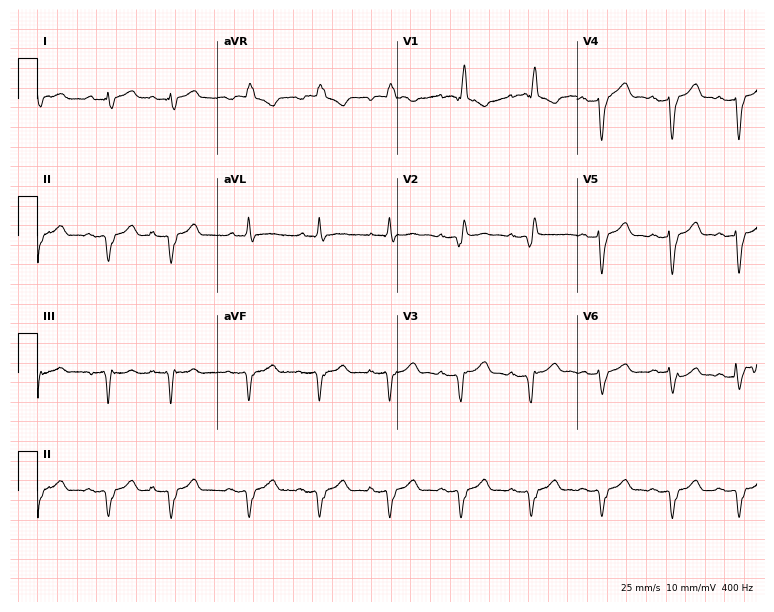
Electrocardiogram (7.3-second recording at 400 Hz), a 66-year-old male. Interpretation includes right bundle branch block.